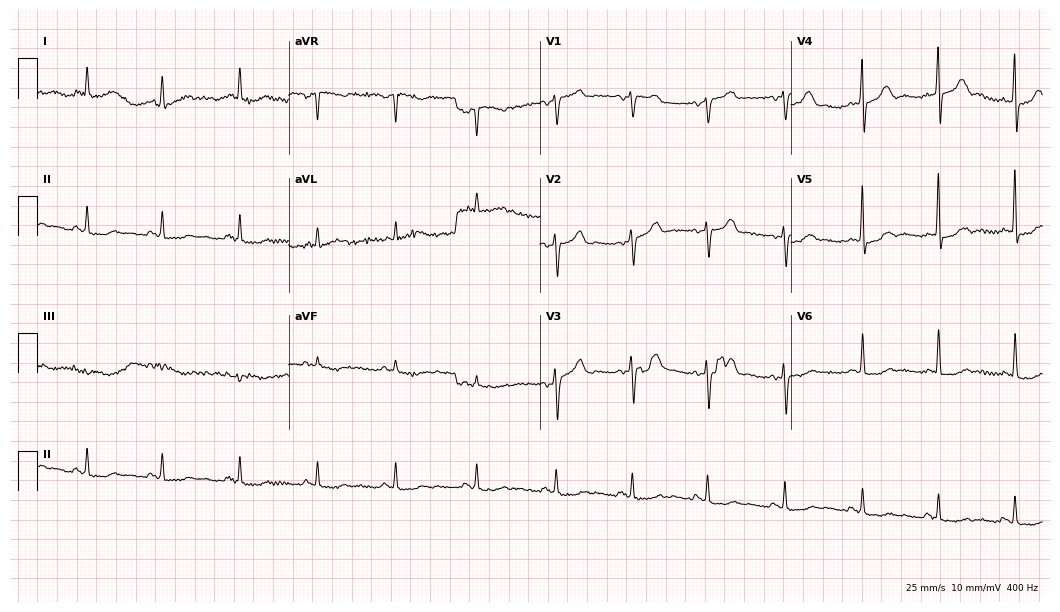
Resting 12-lead electrocardiogram. Patient: a woman, 54 years old. Read as a normal ECG.